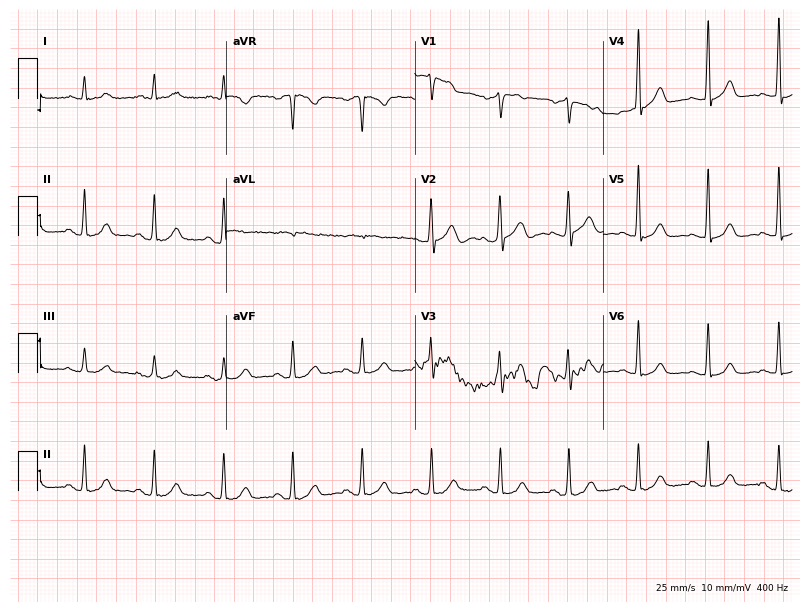
Resting 12-lead electrocardiogram (7.7-second recording at 400 Hz). Patient: a 64-year-old male. Read as a normal ECG.